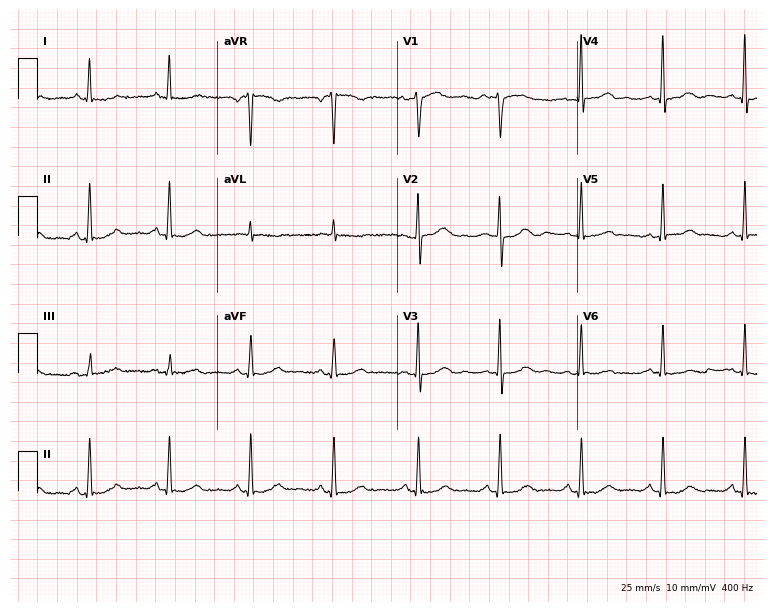
ECG — a 60-year-old female. Screened for six findings — first-degree AV block, right bundle branch block (RBBB), left bundle branch block (LBBB), sinus bradycardia, atrial fibrillation (AF), sinus tachycardia — none is recorded.